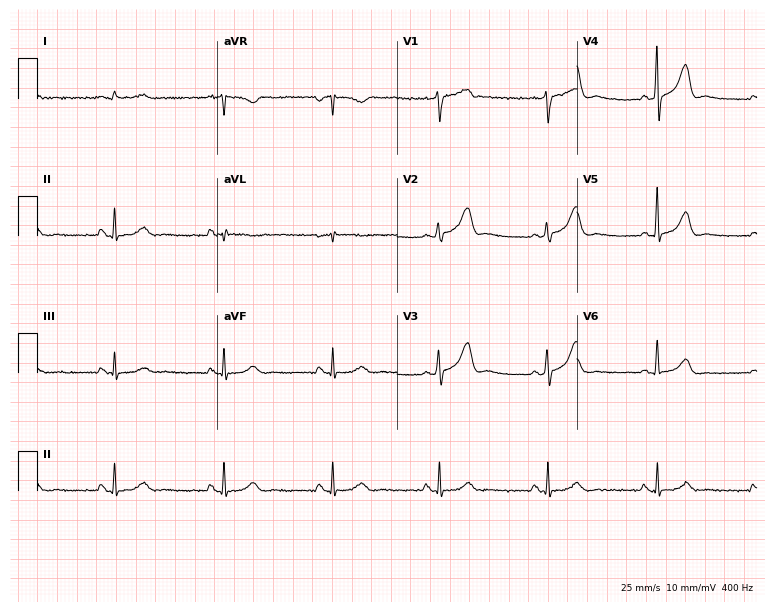
Standard 12-lead ECG recorded from a 67-year-old man (7.3-second recording at 400 Hz). Read as a normal ECG.